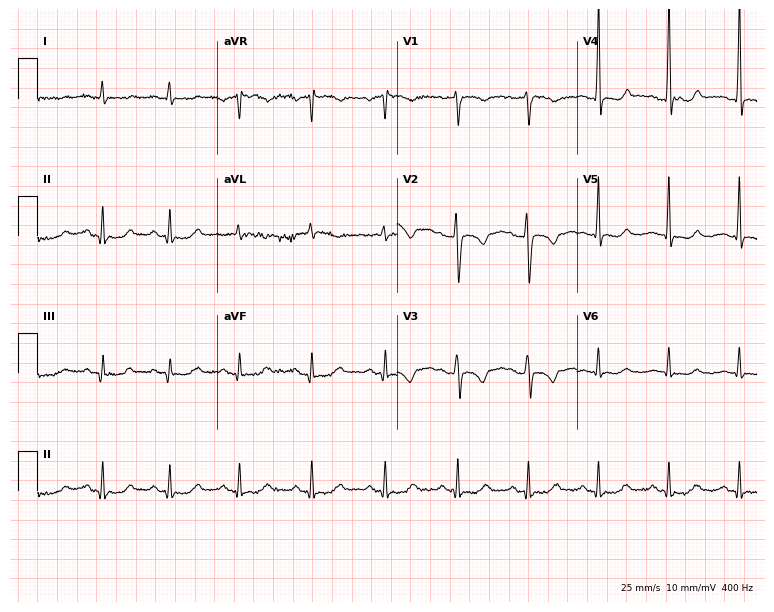
Standard 12-lead ECG recorded from a 57-year-old man. None of these six findings is recorded: first-degree AV block, right bundle branch block, left bundle branch block, sinus bradycardia, atrial fibrillation, sinus tachycardia.